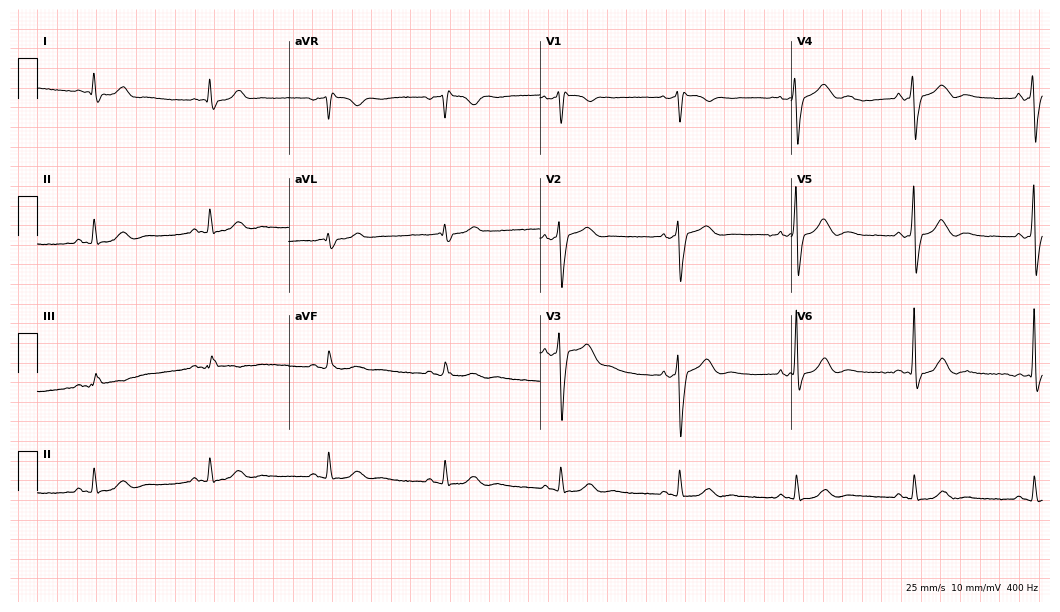
ECG (10.2-second recording at 400 Hz) — a 79-year-old male patient. Findings include right bundle branch block.